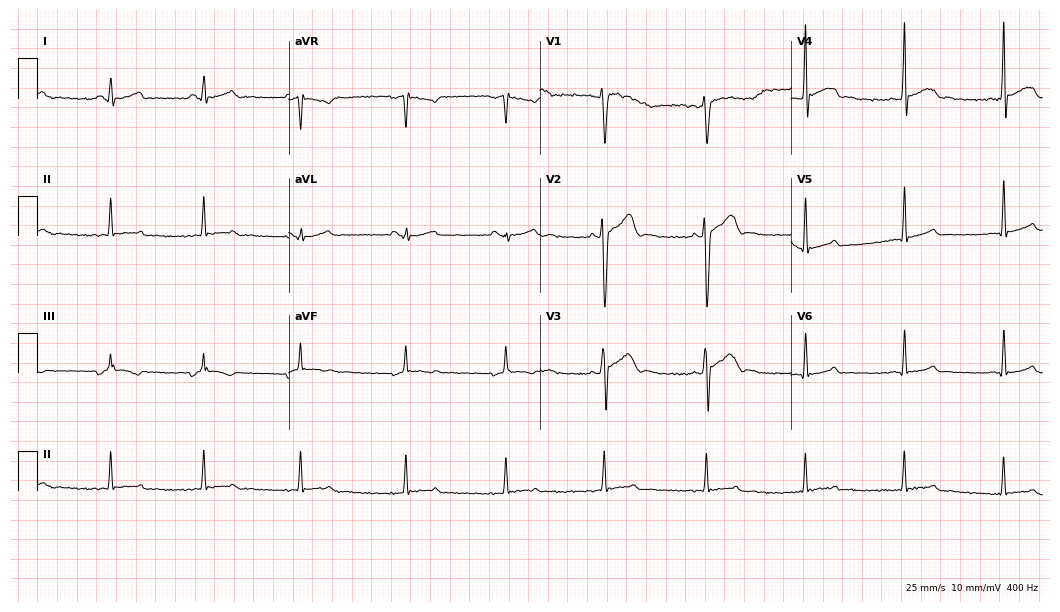
ECG (10.2-second recording at 400 Hz) — a 19-year-old male patient. Screened for six findings — first-degree AV block, right bundle branch block, left bundle branch block, sinus bradycardia, atrial fibrillation, sinus tachycardia — none is recorded.